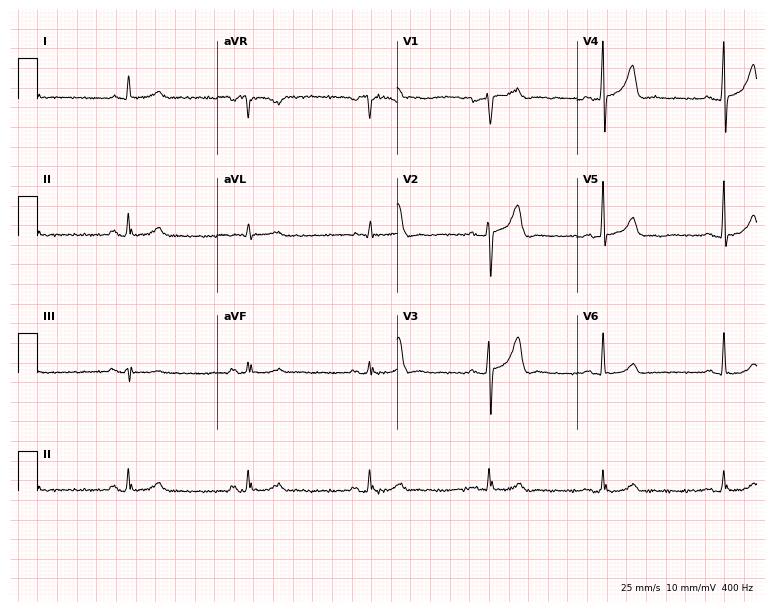
Standard 12-lead ECG recorded from a male patient, 76 years old. The tracing shows sinus bradycardia (a sinus rate of 50 beats per minute or less).